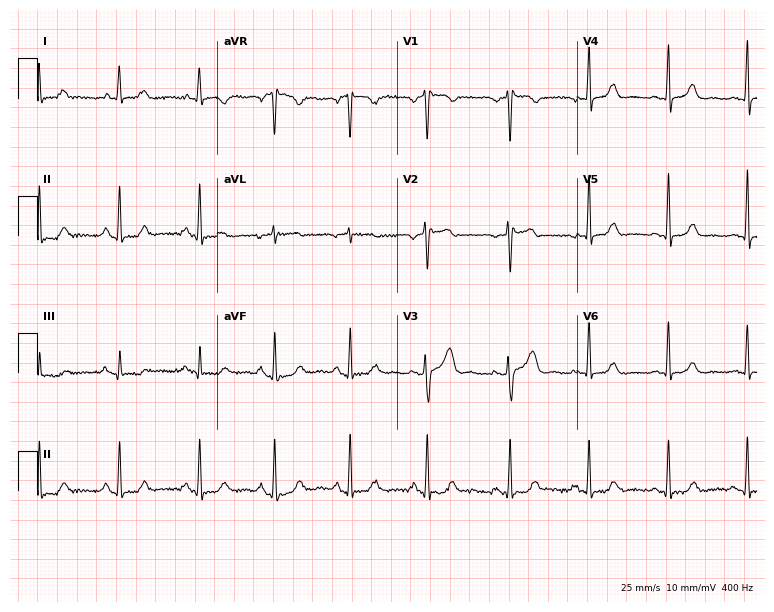
Electrocardiogram (7.3-second recording at 400 Hz), a woman, 57 years old. Of the six screened findings (first-degree AV block, right bundle branch block (RBBB), left bundle branch block (LBBB), sinus bradycardia, atrial fibrillation (AF), sinus tachycardia), none is recorded.